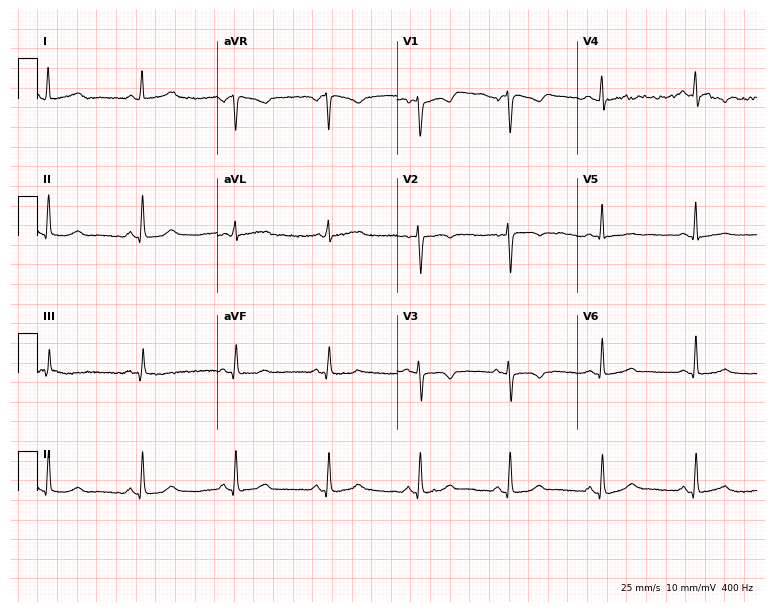
Resting 12-lead electrocardiogram (7.3-second recording at 400 Hz). Patient: a female, 56 years old. None of these six findings is recorded: first-degree AV block, right bundle branch block (RBBB), left bundle branch block (LBBB), sinus bradycardia, atrial fibrillation (AF), sinus tachycardia. Findings outside these six are not listed.